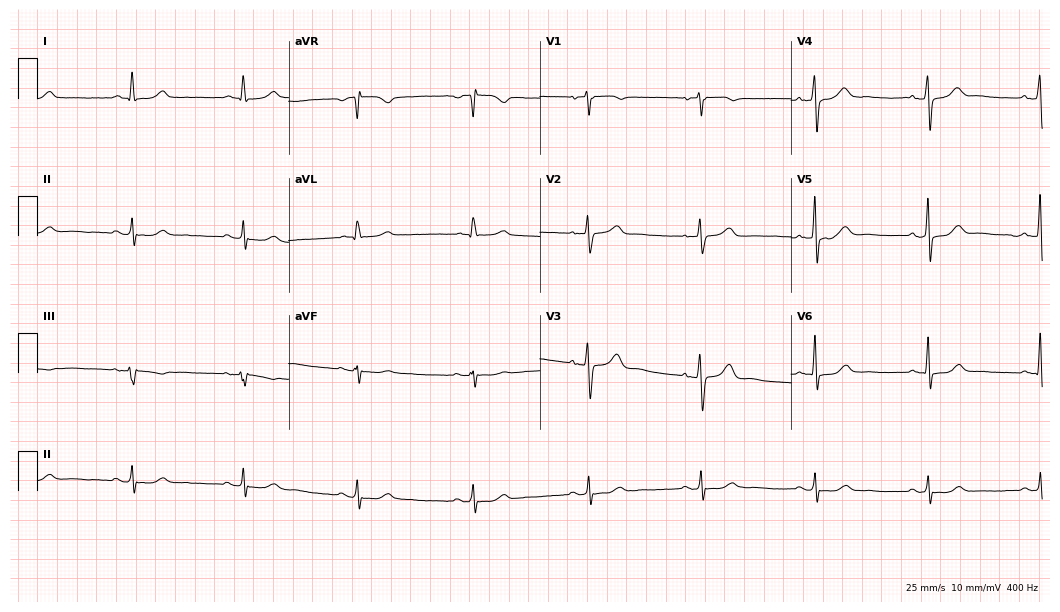
Electrocardiogram, a 72-year-old woman. Overall reading on record: normal ECG.